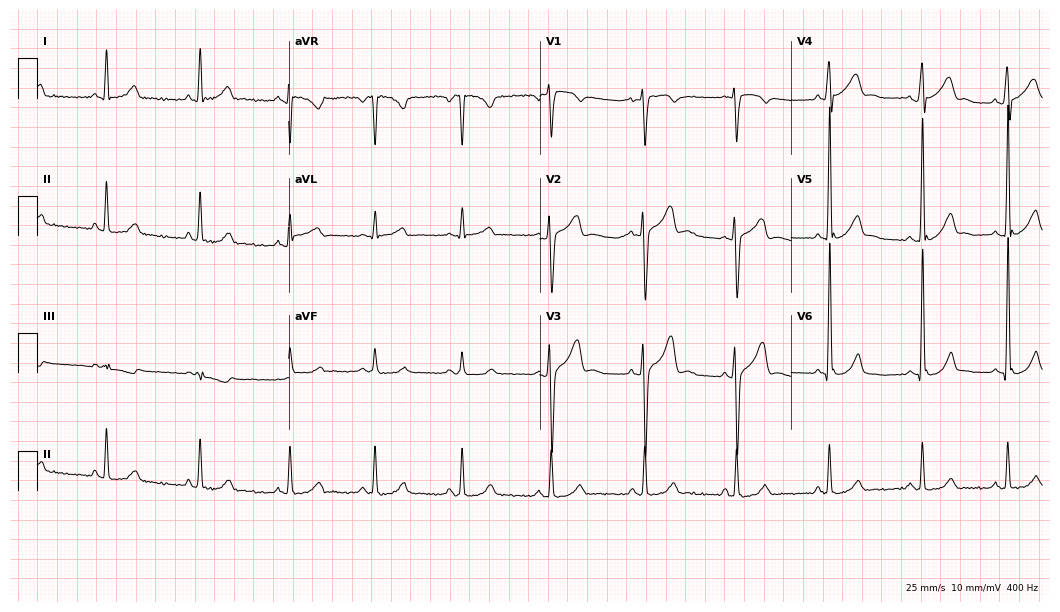
12-lead ECG from a 33-year-old man. Screened for six findings — first-degree AV block, right bundle branch block, left bundle branch block, sinus bradycardia, atrial fibrillation, sinus tachycardia — none is recorded.